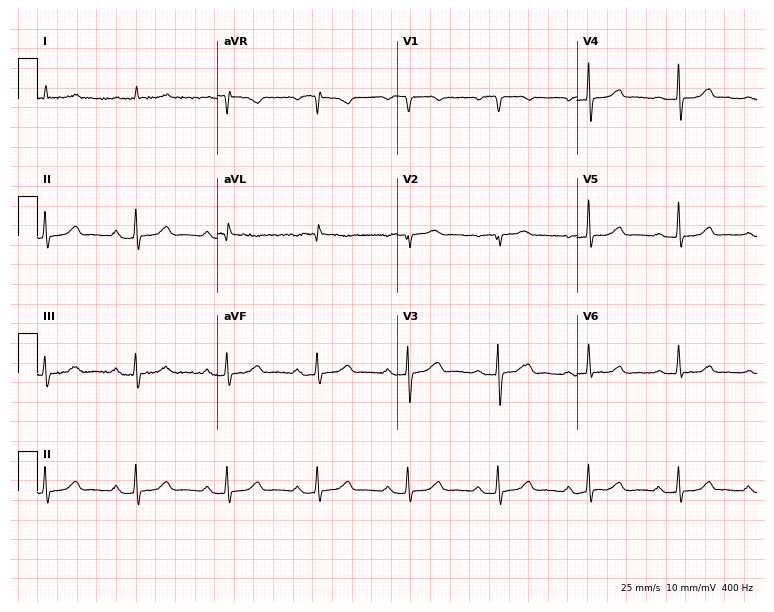
12-lead ECG (7.3-second recording at 400 Hz) from an 85-year-old male. Findings include first-degree AV block.